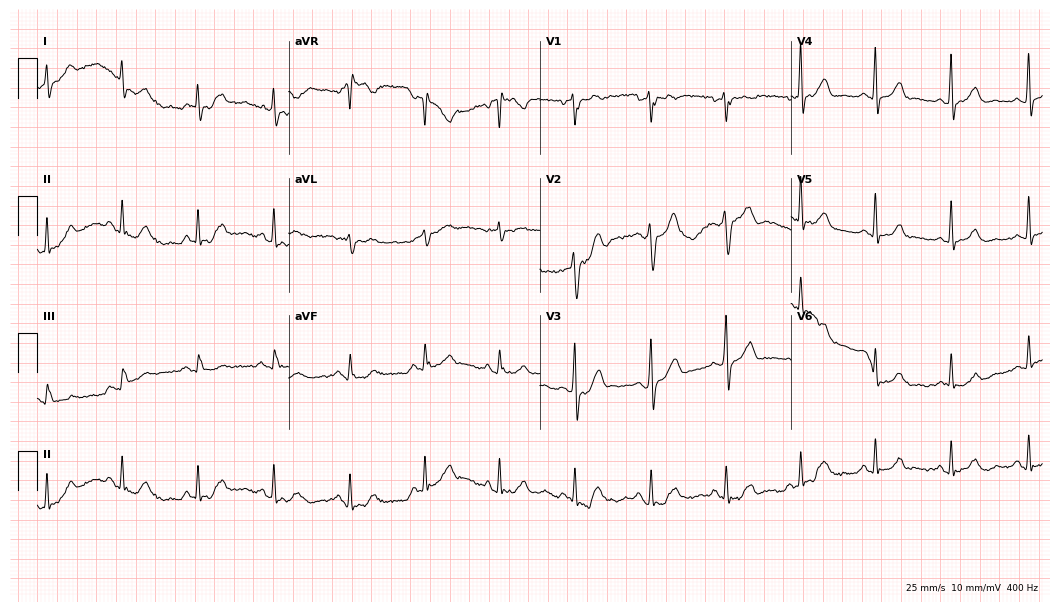
ECG — a 60-year-old male patient. Screened for six findings — first-degree AV block, right bundle branch block, left bundle branch block, sinus bradycardia, atrial fibrillation, sinus tachycardia — none is recorded. Only these six findings were labelled.